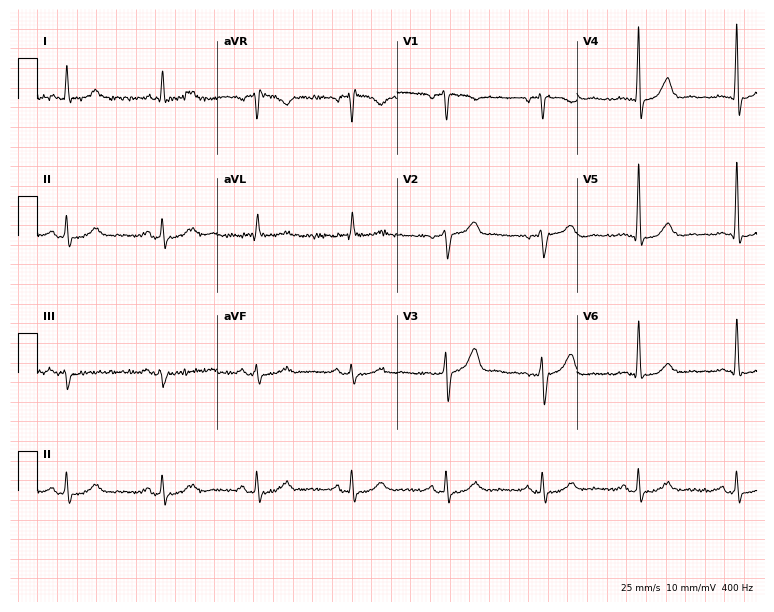
Resting 12-lead electrocardiogram (7.3-second recording at 400 Hz). Patient: a 74-year-old male. Read as a normal ECG.